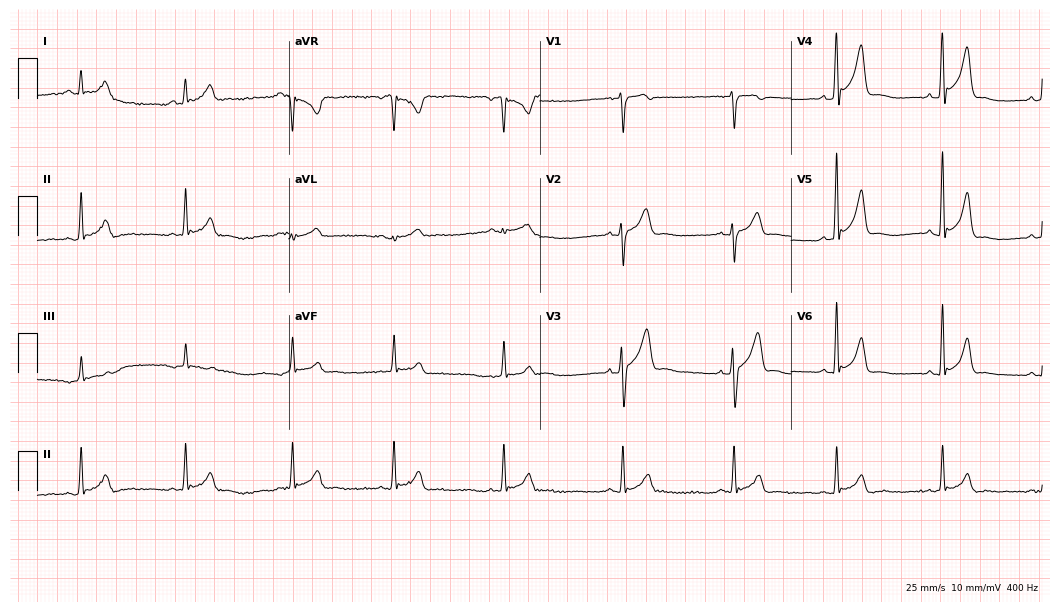
12-lead ECG (10.2-second recording at 400 Hz) from a male, 24 years old. Screened for six findings — first-degree AV block, right bundle branch block (RBBB), left bundle branch block (LBBB), sinus bradycardia, atrial fibrillation (AF), sinus tachycardia — none is recorded. Only these six findings were labelled.